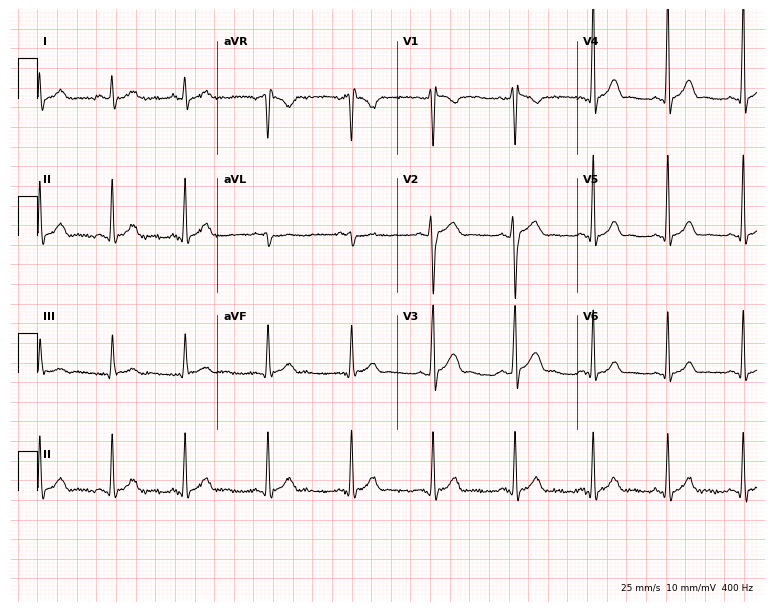
Standard 12-lead ECG recorded from a 23-year-old male patient (7.3-second recording at 400 Hz). Read as a normal ECG.